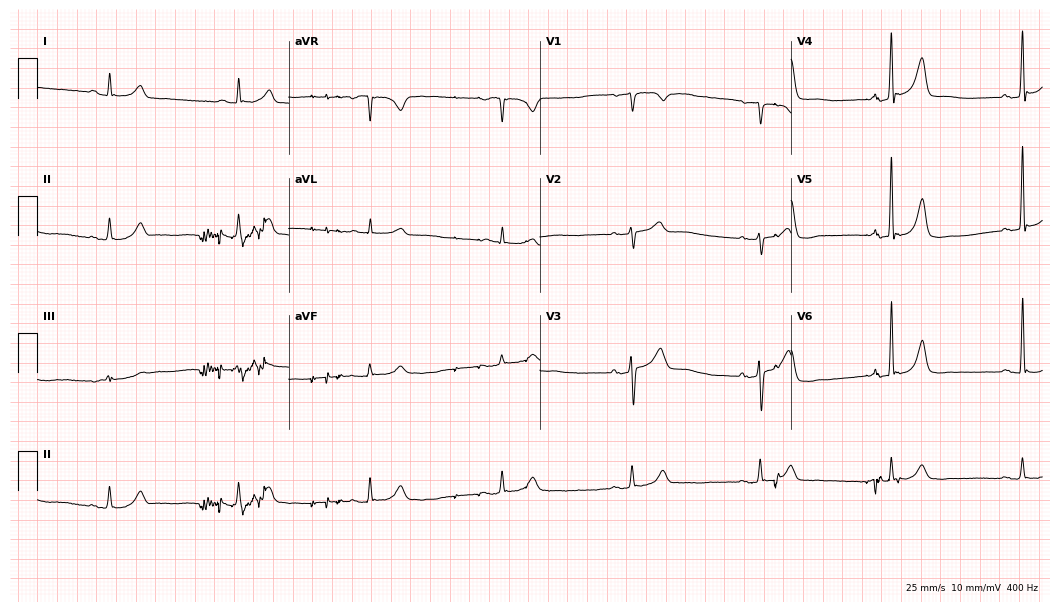
Resting 12-lead electrocardiogram. Patient: a male, 68 years old. The tracing shows sinus bradycardia (a sinus rate of 50 beats per minute or less).